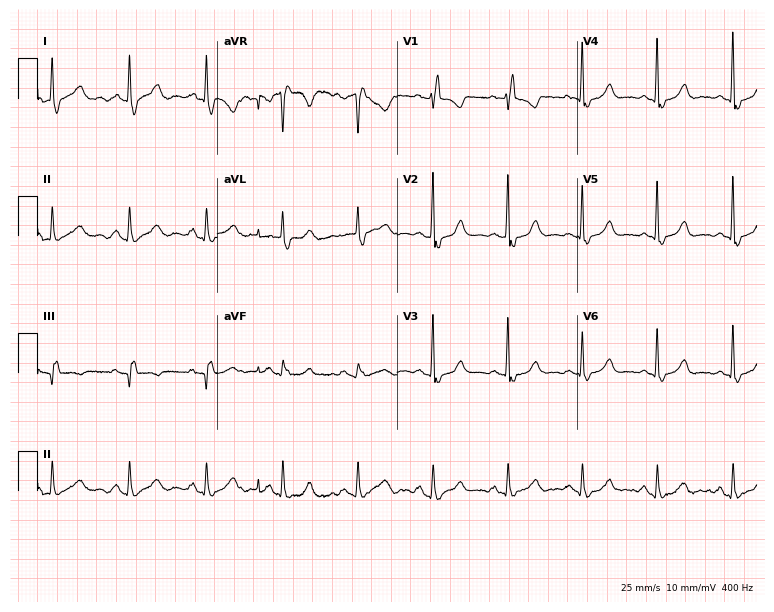
12-lead ECG from a 65-year-old female. Findings include right bundle branch block.